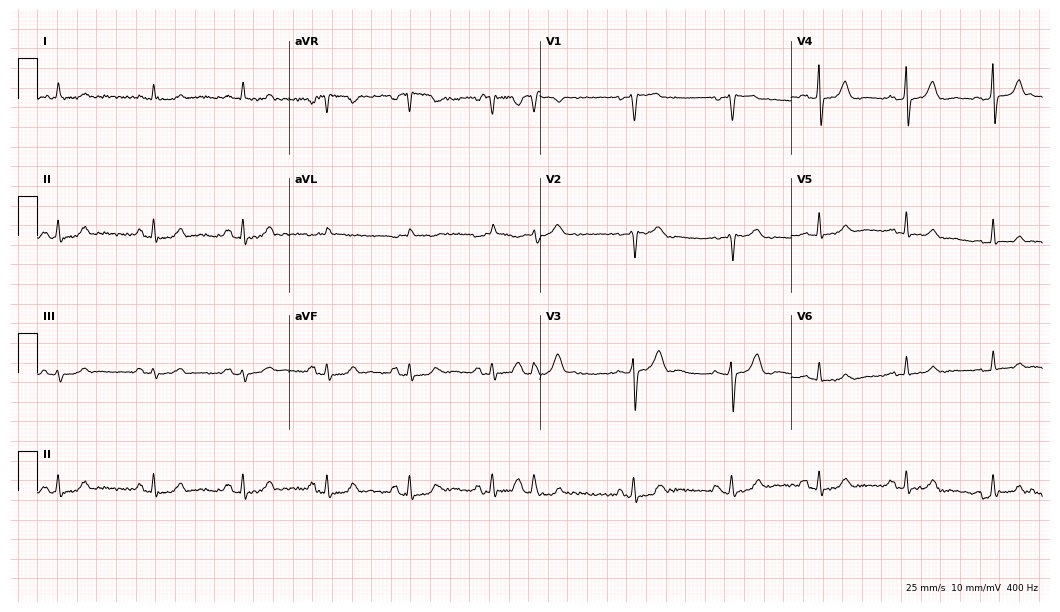
12-lead ECG from a male patient, 80 years old (10.2-second recording at 400 Hz). No first-degree AV block, right bundle branch block (RBBB), left bundle branch block (LBBB), sinus bradycardia, atrial fibrillation (AF) or sinus tachycardia recorded for this tracing. Other findings, if any, are not listed.